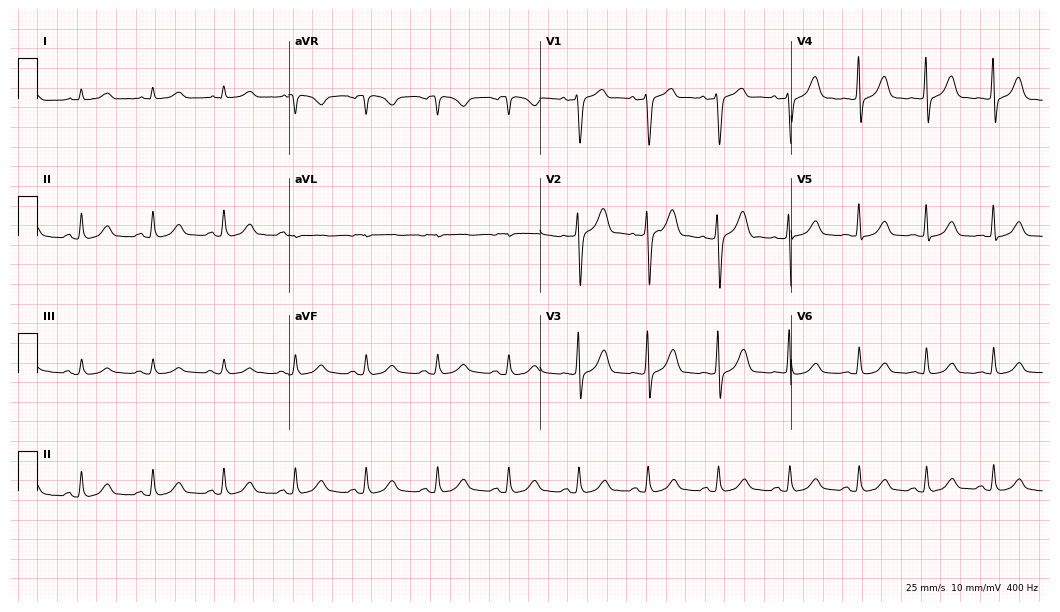
12-lead ECG from a male patient, 40 years old. Labelled as a normal ECG.